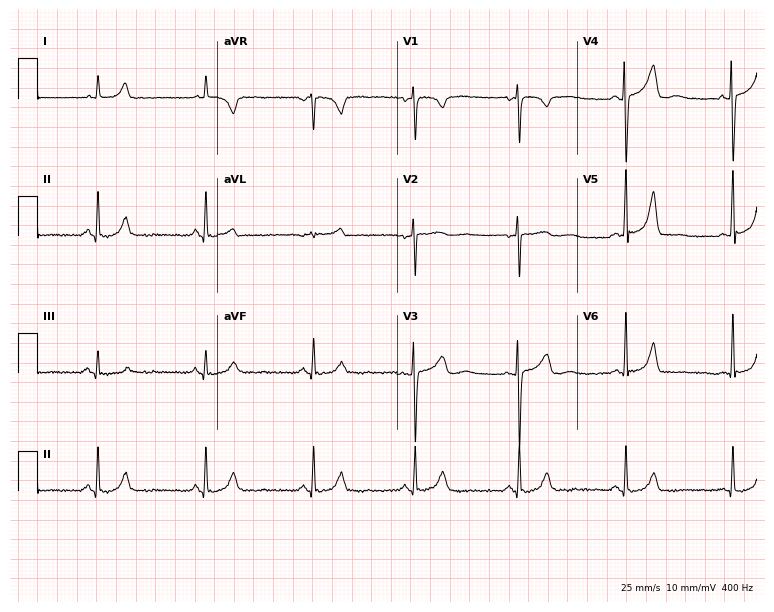
Electrocardiogram (7.3-second recording at 400 Hz), a female patient, 34 years old. Of the six screened findings (first-degree AV block, right bundle branch block (RBBB), left bundle branch block (LBBB), sinus bradycardia, atrial fibrillation (AF), sinus tachycardia), none is recorded.